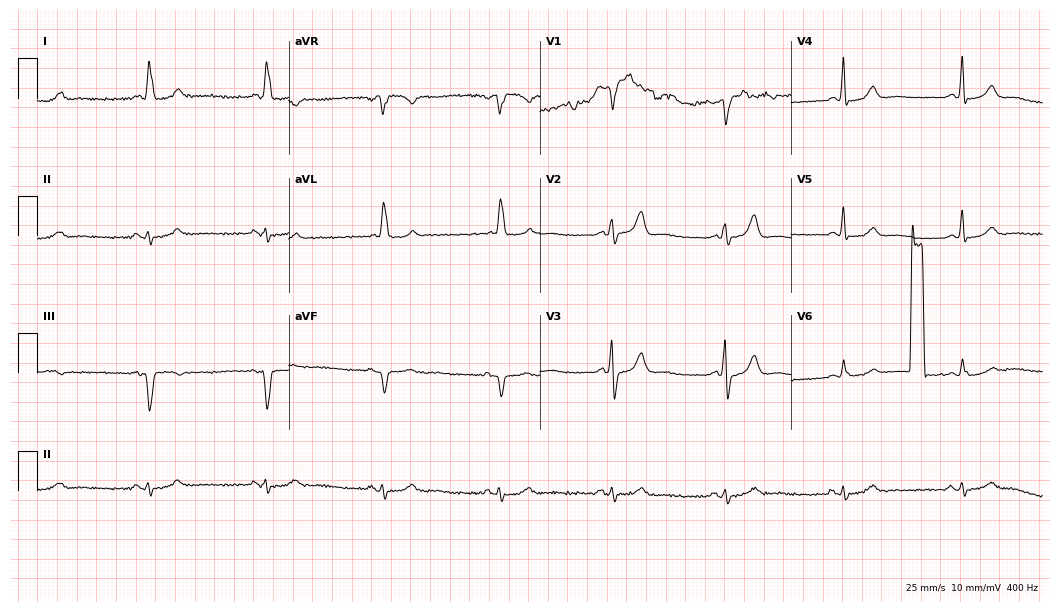
ECG (10.2-second recording at 400 Hz) — a man, 77 years old. Screened for six findings — first-degree AV block, right bundle branch block (RBBB), left bundle branch block (LBBB), sinus bradycardia, atrial fibrillation (AF), sinus tachycardia — none is recorded.